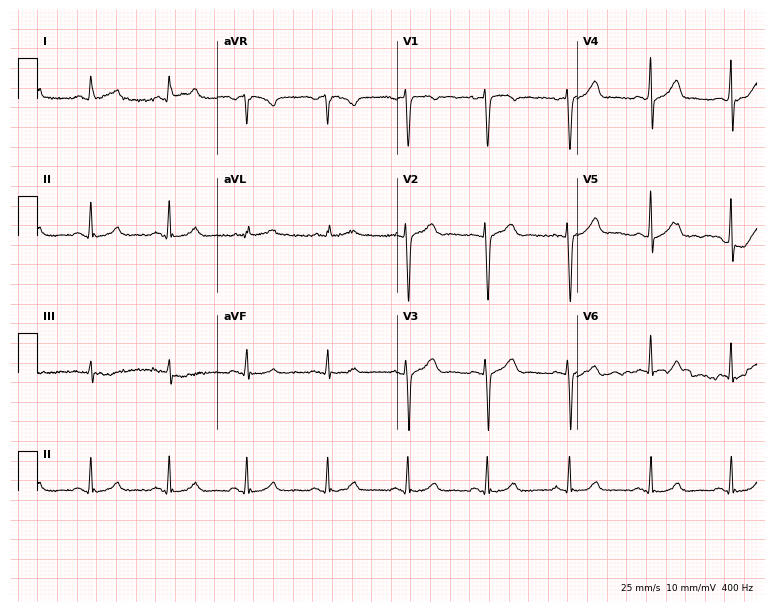
Standard 12-lead ECG recorded from a 53-year-old woman (7.3-second recording at 400 Hz). Read as a normal ECG.